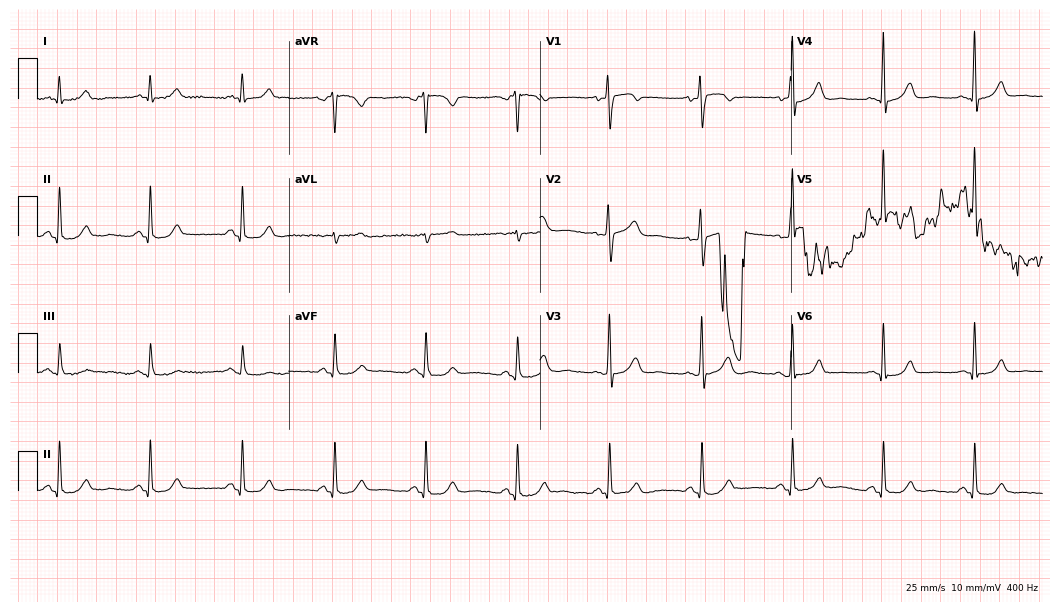
Electrocardiogram (10.2-second recording at 400 Hz), a 54-year-old male patient. Overall reading on record: normal ECG.